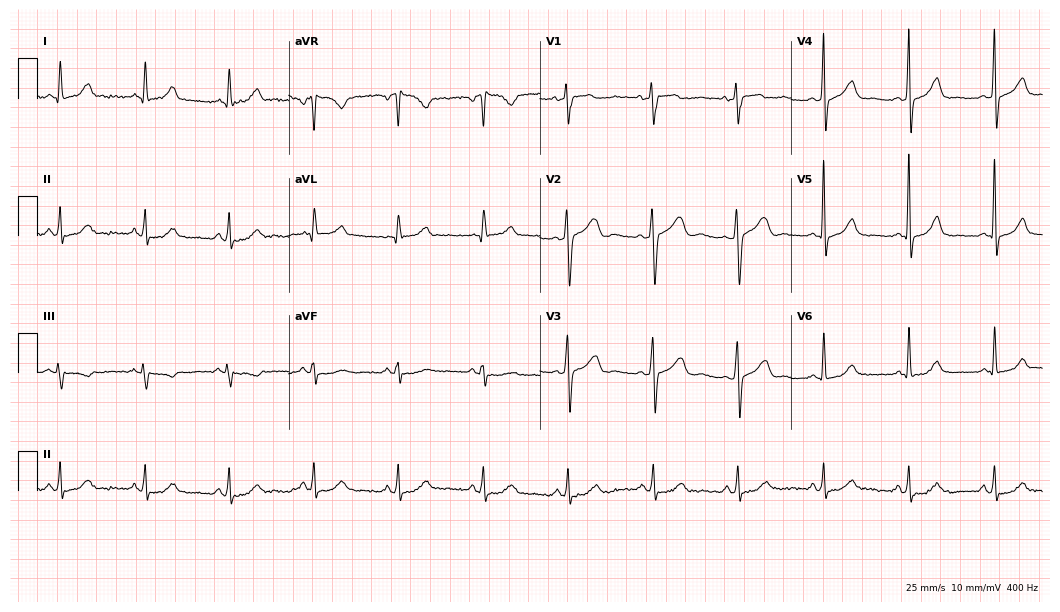
Resting 12-lead electrocardiogram. Patient: a female, 51 years old. None of these six findings is recorded: first-degree AV block, right bundle branch block, left bundle branch block, sinus bradycardia, atrial fibrillation, sinus tachycardia. Findings outside these six are not listed.